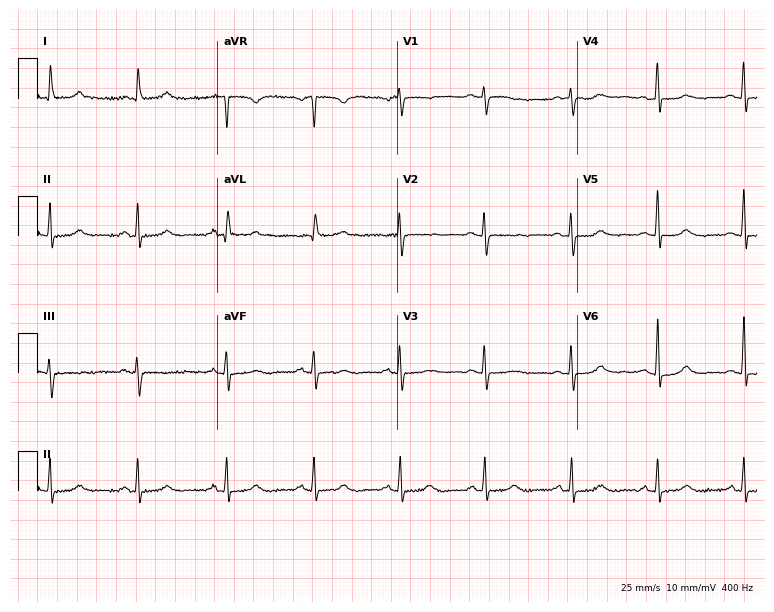
Standard 12-lead ECG recorded from a female patient, 66 years old. Read as a normal ECG.